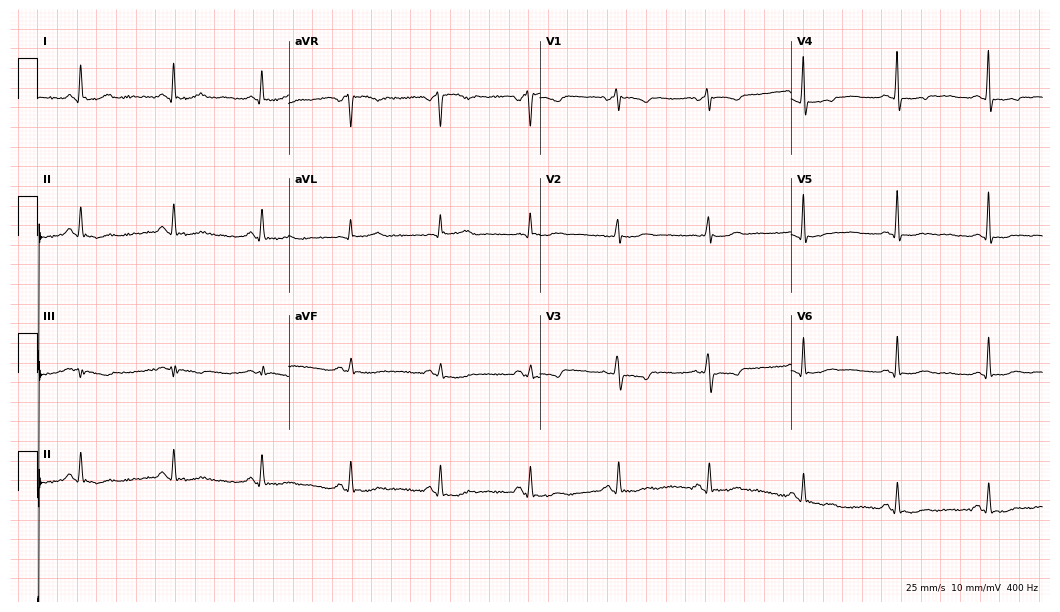
Resting 12-lead electrocardiogram. Patient: a 46-year-old female. None of these six findings is recorded: first-degree AV block, right bundle branch block, left bundle branch block, sinus bradycardia, atrial fibrillation, sinus tachycardia. Only these six findings were labelled.